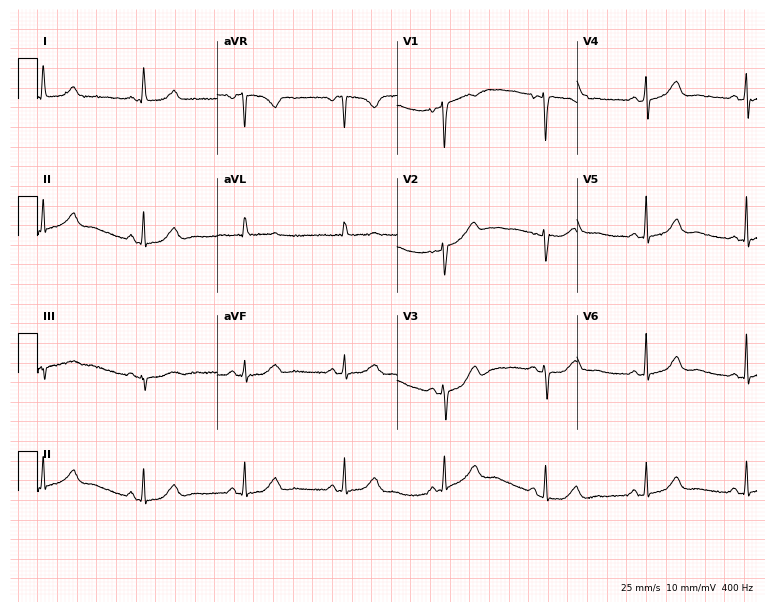
12-lead ECG from a 76-year-old woman. Labelled as a normal ECG.